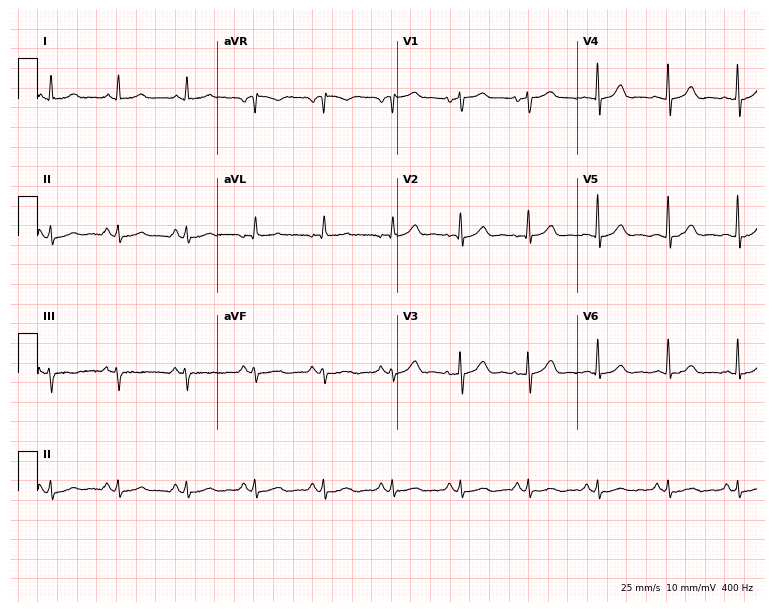
Standard 12-lead ECG recorded from a 68-year-old male patient (7.3-second recording at 400 Hz). Read as a normal ECG.